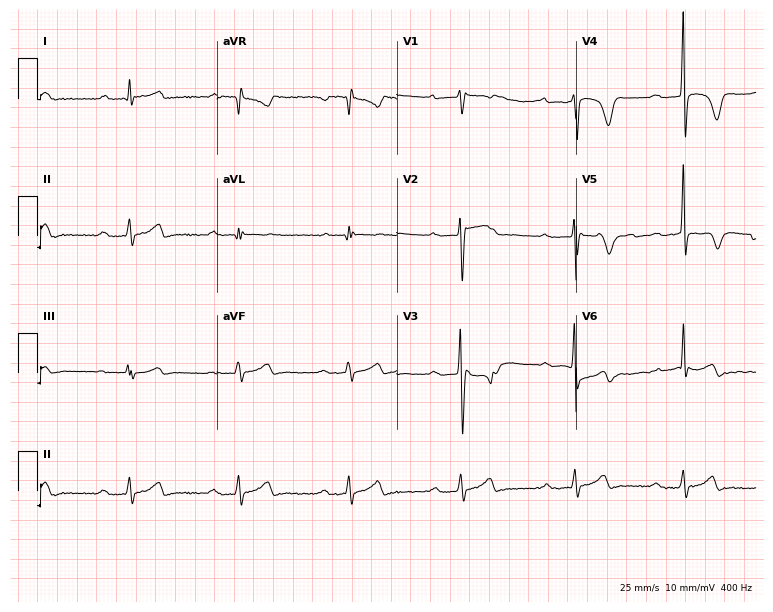
Standard 12-lead ECG recorded from a 57-year-old man. The tracing shows first-degree AV block.